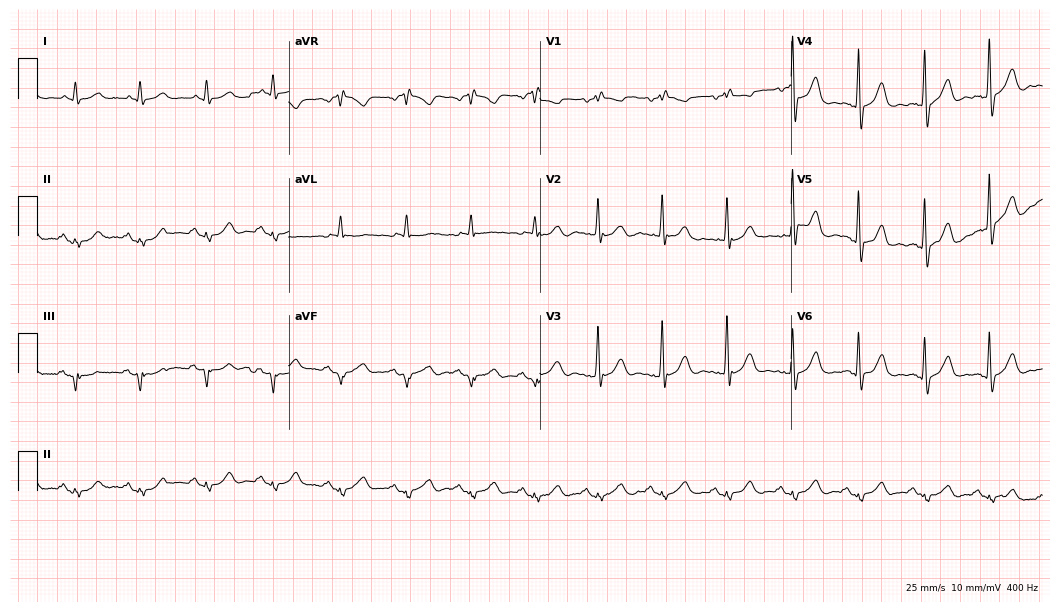
ECG — a female, 72 years old. Screened for six findings — first-degree AV block, right bundle branch block, left bundle branch block, sinus bradycardia, atrial fibrillation, sinus tachycardia — none is recorded.